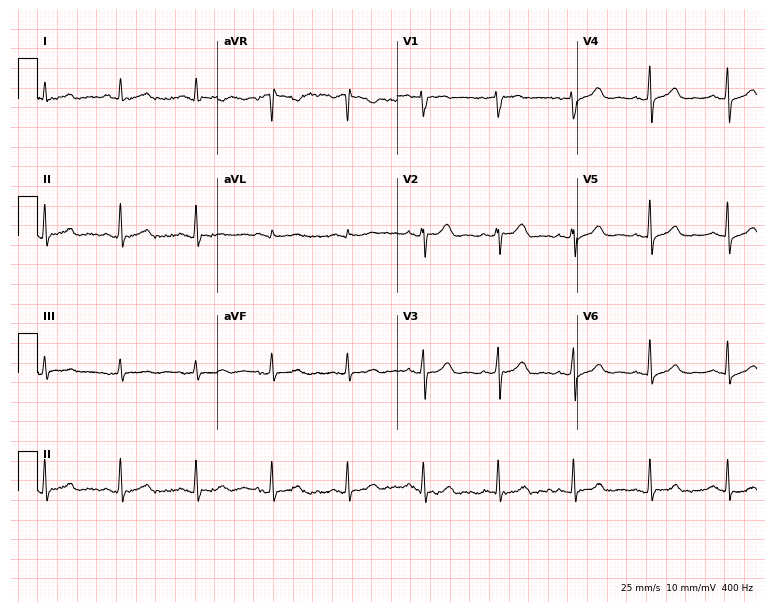
12-lead ECG (7.3-second recording at 400 Hz) from a woman, 53 years old. Screened for six findings — first-degree AV block, right bundle branch block, left bundle branch block, sinus bradycardia, atrial fibrillation, sinus tachycardia — none is recorded. Findings outside these six are not listed.